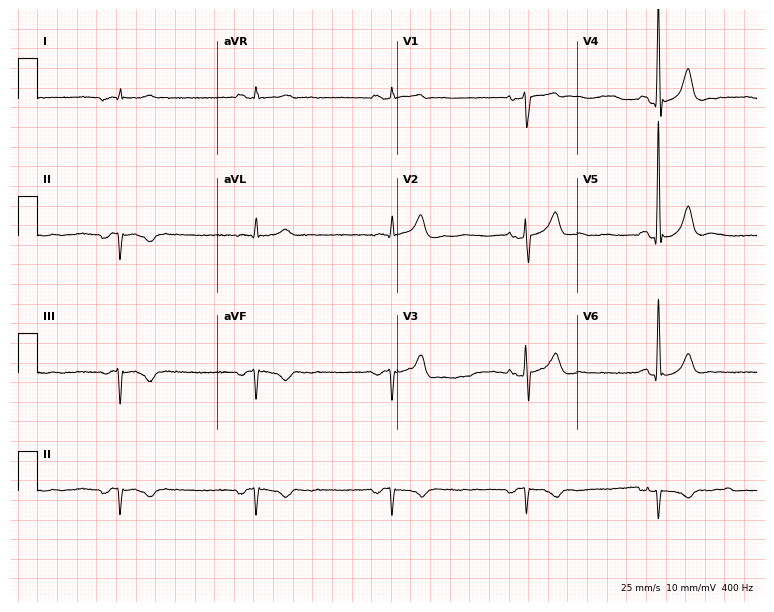
Standard 12-lead ECG recorded from a 65-year-old man. None of these six findings is recorded: first-degree AV block, right bundle branch block (RBBB), left bundle branch block (LBBB), sinus bradycardia, atrial fibrillation (AF), sinus tachycardia. Other findings, if any, are not listed.